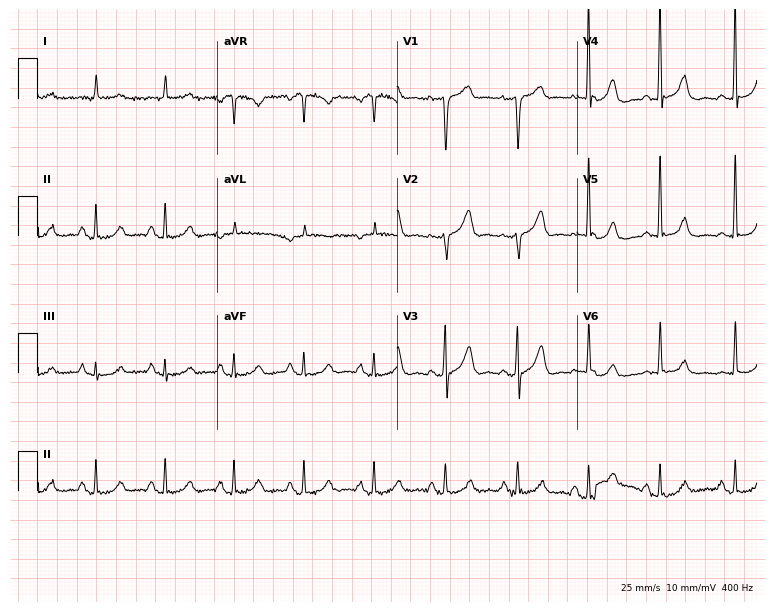
12-lead ECG from a 67-year-old male patient. Recorded interpretation: within normal limits.